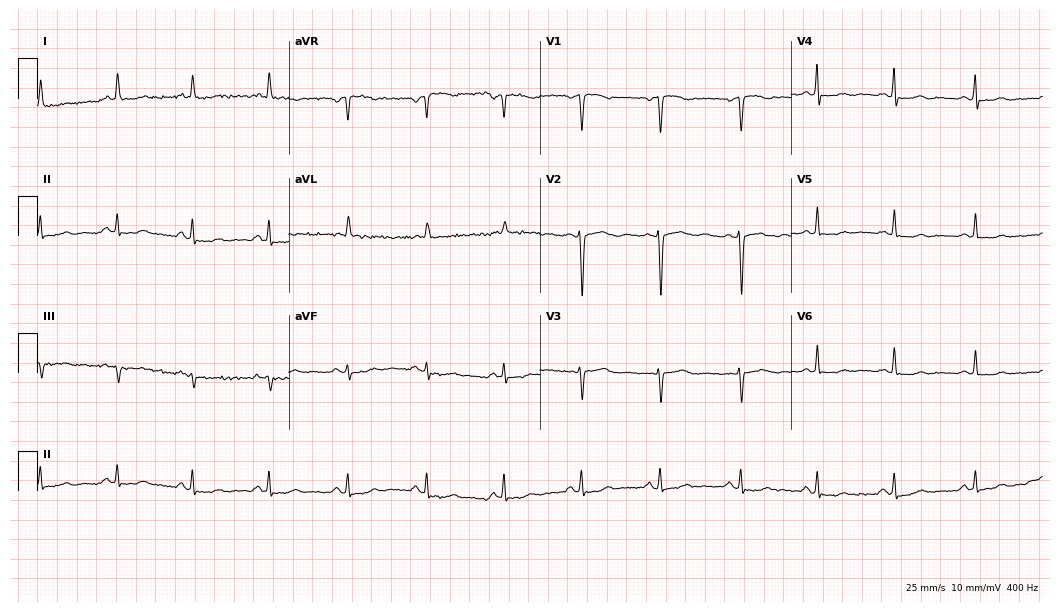
Electrocardiogram, a female patient, 45 years old. Of the six screened findings (first-degree AV block, right bundle branch block, left bundle branch block, sinus bradycardia, atrial fibrillation, sinus tachycardia), none is recorded.